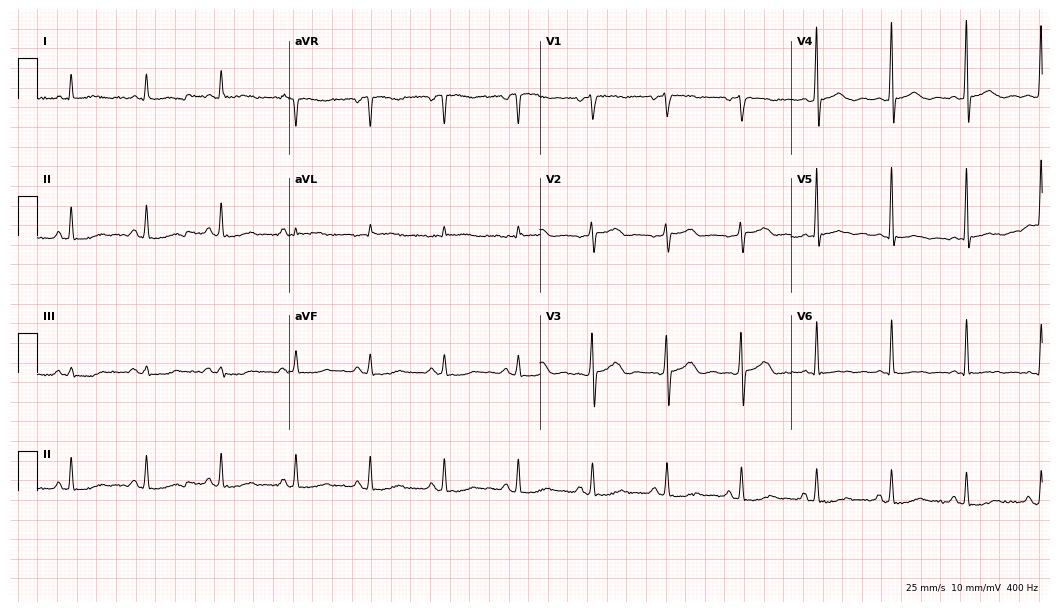
12-lead ECG from a 70-year-old male. Screened for six findings — first-degree AV block, right bundle branch block, left bundle branch block, sinus bradycardia, atrial fibrillation, sinus tachycardia — none is recorded.